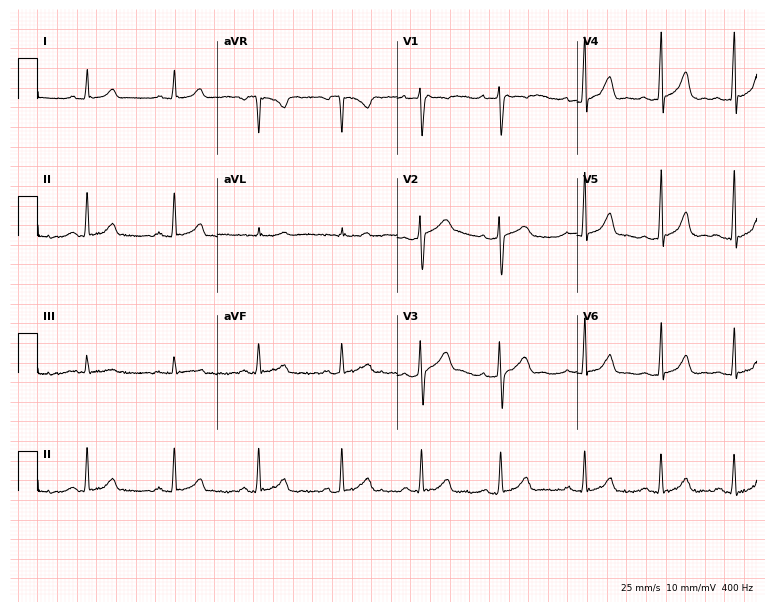
Standard 12-lead ECG recorded from a 23-year-old female (7.3-second recording at 400 Hz). Read as a normal ECG.